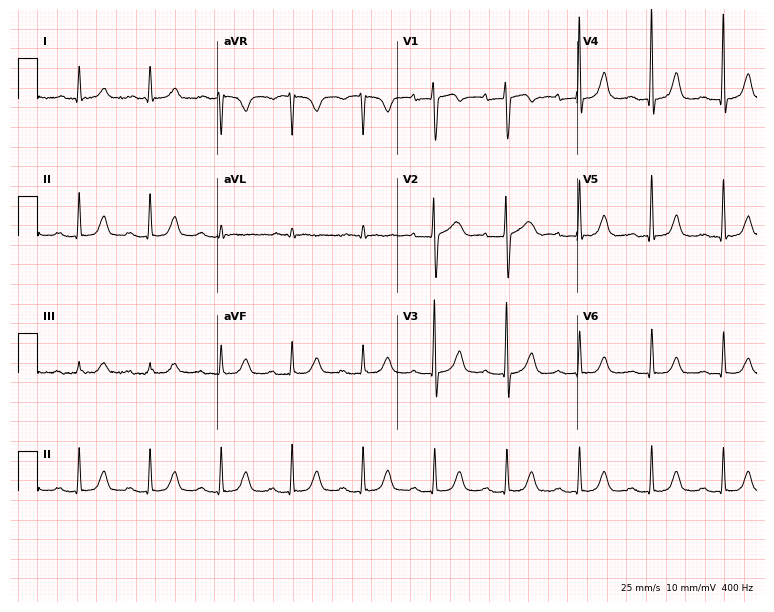
ECG (7.3-second recording at 400 Hz) — a woman, 66 years old. Findings include first-degree AV block.